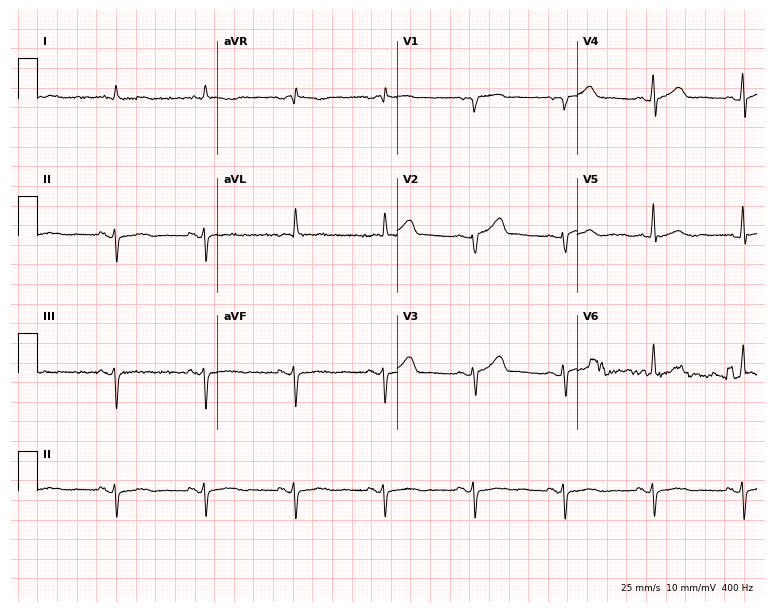
12-lead ECG from an 83-year-old man (7.3-second recording at 400 Hz). No first-degree AV block, right bundle branch block, left bundle branch block, sinus bradycardia, atrial fibrillation or sinus tachycardia recorded for this tracing. Other findings, if any, are not listed.